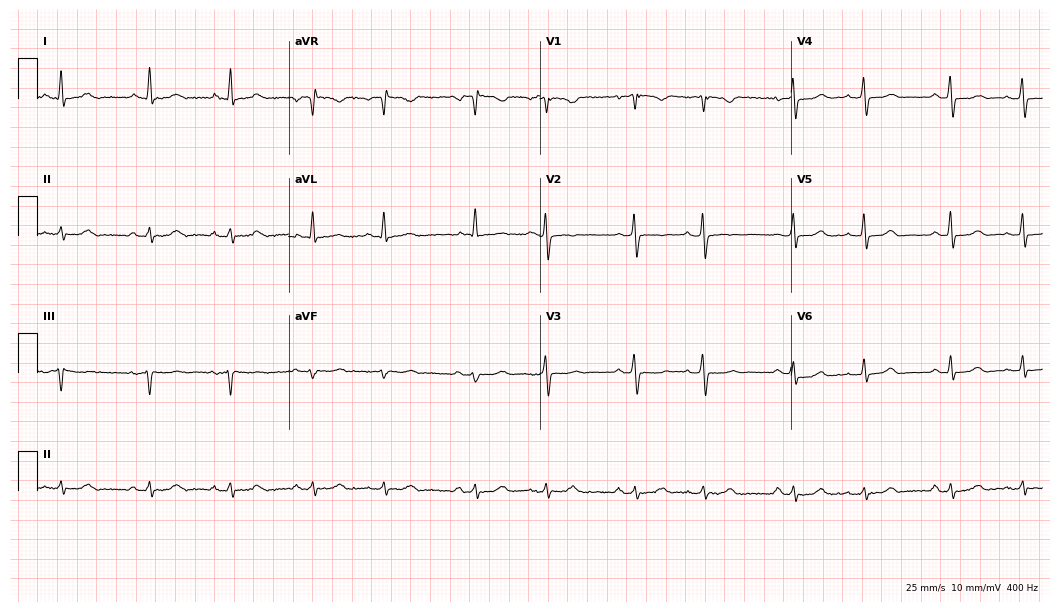
Resting 12-lead electrocardiogram. Patient: a female, 41 years old. None of these six findings is recorded: first-degree AV block, right bundle branch block, left bundle branch block, sinus bradycardia, atrial fibrillation, sinus tachycardia. Only these six findings were labelled.